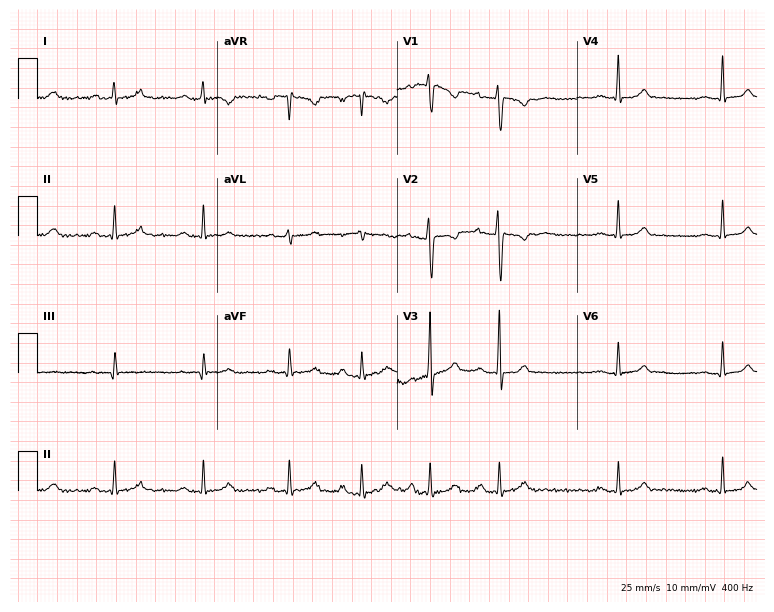
Electrocardiogram, a female, 22 years old. Overall reading on record: normal ECG.